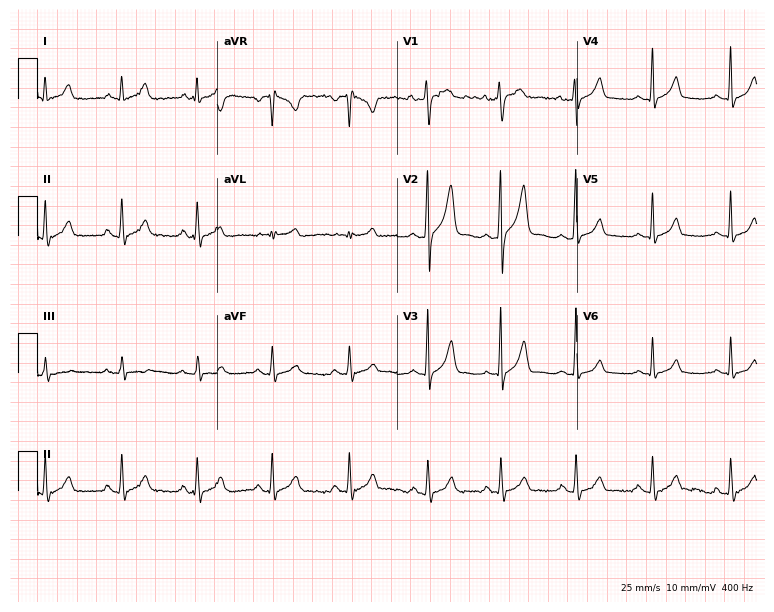
Resting 12-lead electrocardiogram (7.3-second recording at 400 Hz). Patient: a male, 26 years old. Read as a normal ECG.